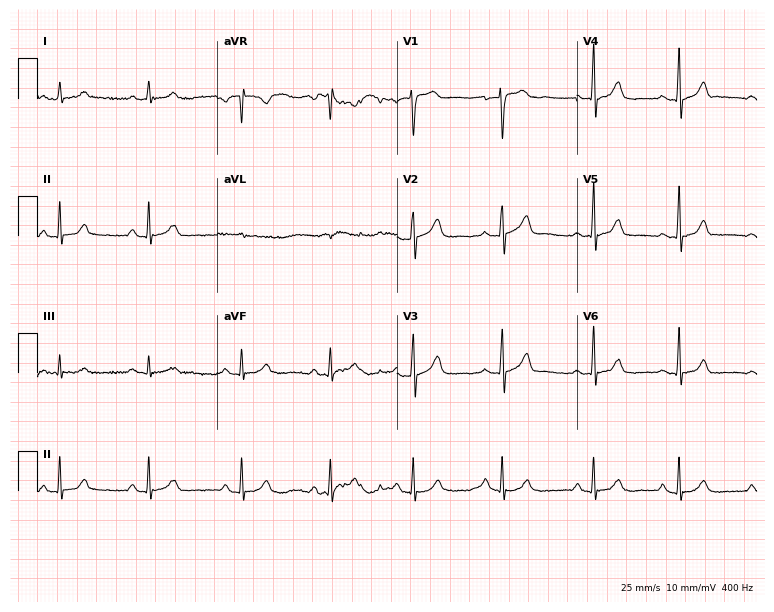
Standard 12-lead ECG recorded from a female patient, 45 years old. Read as a normal ECG.